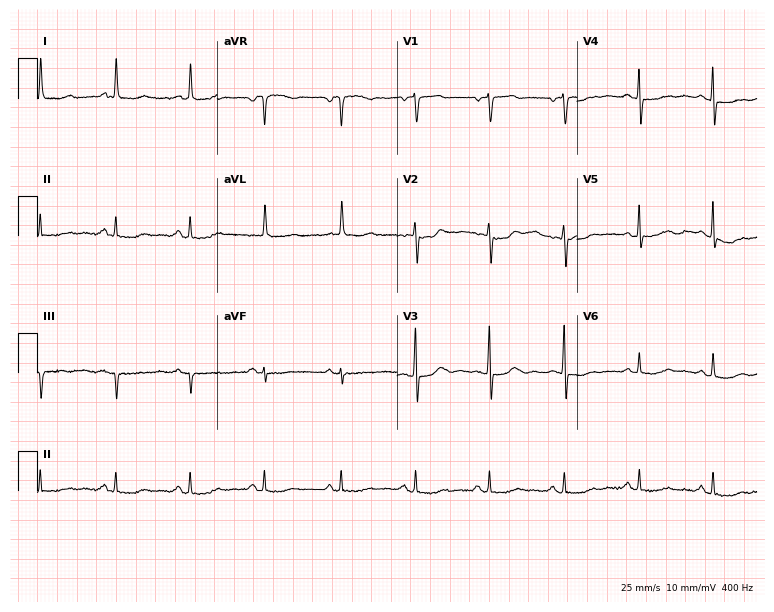
12-lead ECG from an 82-year-old female (7.3-second recording at 400 Hz). No first-degree AV block, right bundle branch block, left bundle branch block, sinus bradycardia, atrial fibrillation or sinus tachycardia recorded for this tracing.